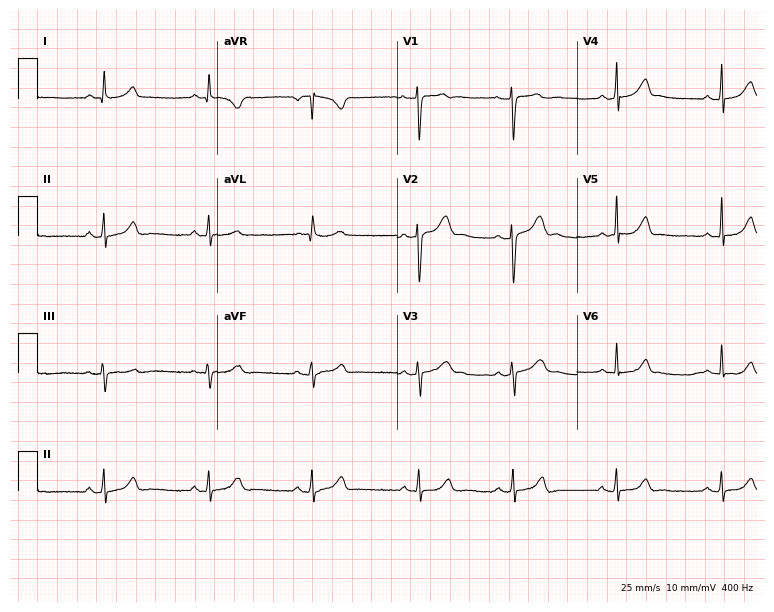
Standard 12-lead ECG recorded from a female patient, 30 years old (7.3-second recording at 400 Hz). Read as a normal ECG.